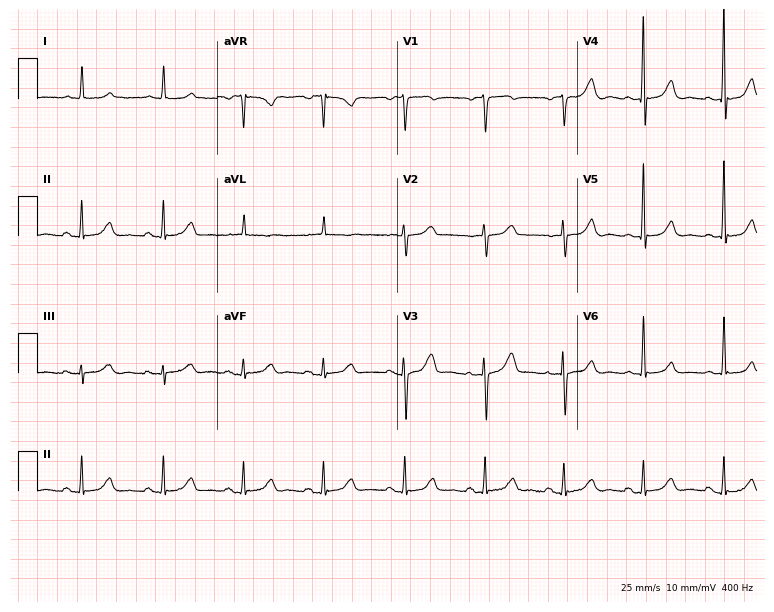
12-lead ECG from a woman, 80 years old (7.3-second recording at 400 Hz). Recorded interpretation: within normal limits.